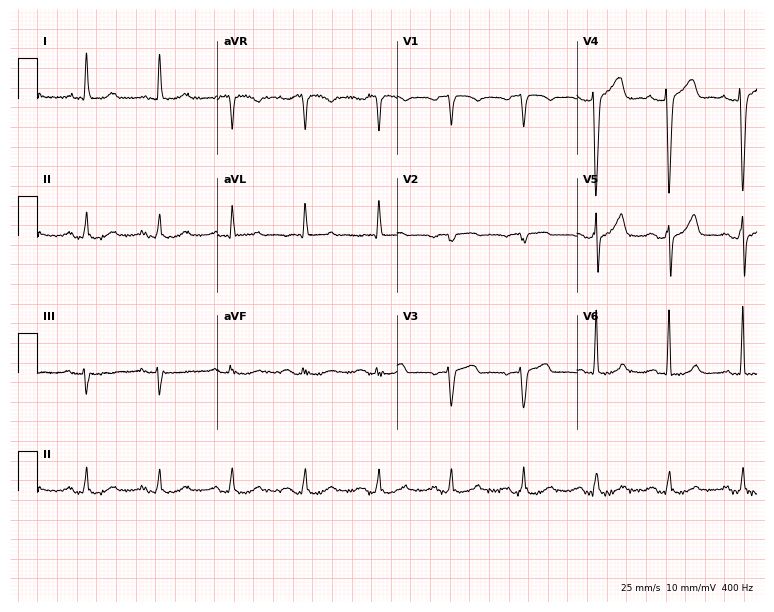
Resting 12-lead electrocardiogram. Patient: a female, 78 years old. None of these six findings is recorded: first-degree AV block, right bundle branch block, left bundle branch block, sinus bradycardia, atrial fibrillation, sinus tachycardia.